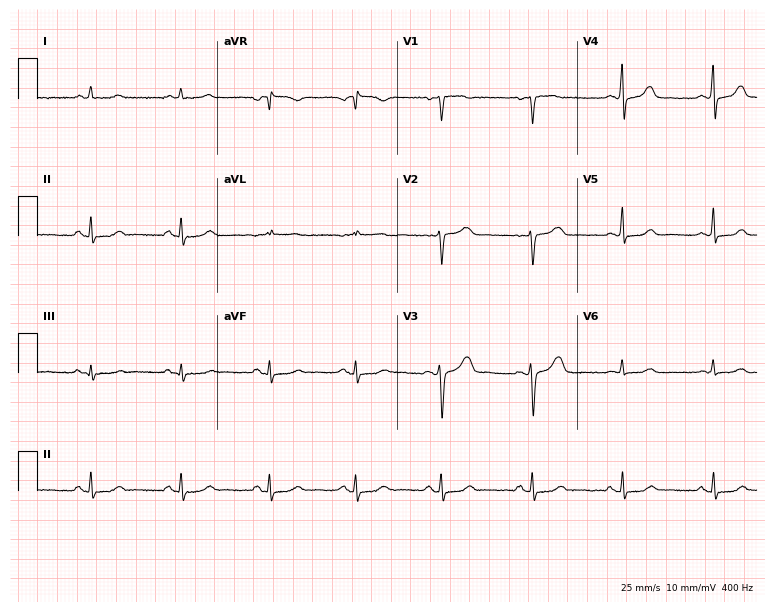
Standard 12-lead ECG recorded from a 43-year-old woman. Read as a normal ECG.